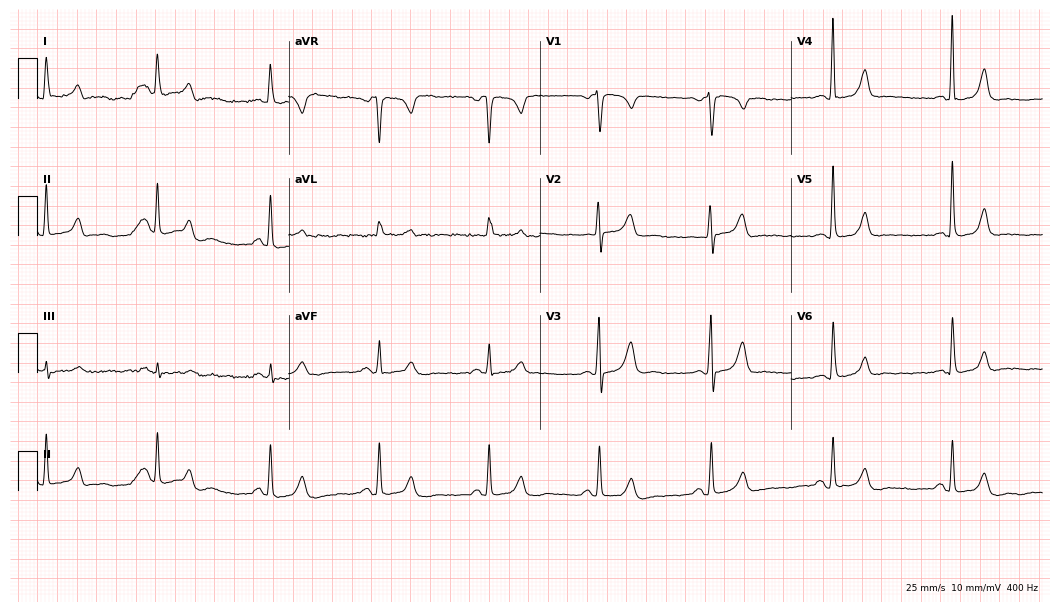
Resting 12-lead electrocardiogram. Patient: a female, 64 years old. Read as a normal ECG.